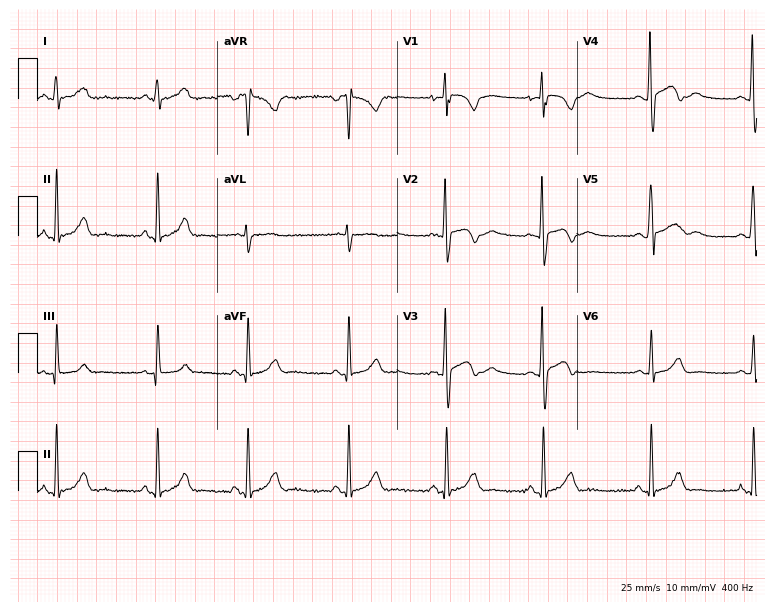
Electrocardiogram (7.3-second recording at 400 Hz), an 18-year-old female patient. Overall reading on record: normal ECG.